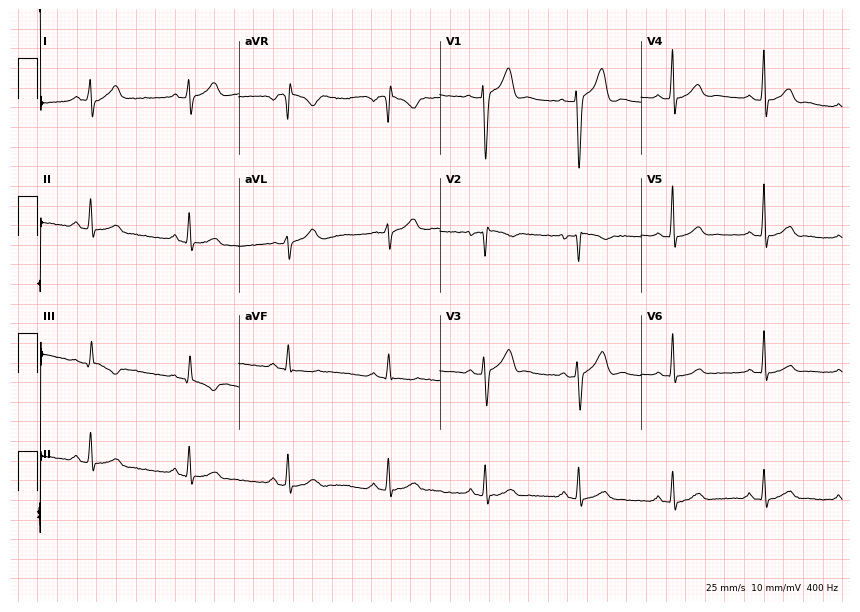
Resting 12-lead electrocardiogram. Patient: a man, 33 years old. Read as a normal ECG.